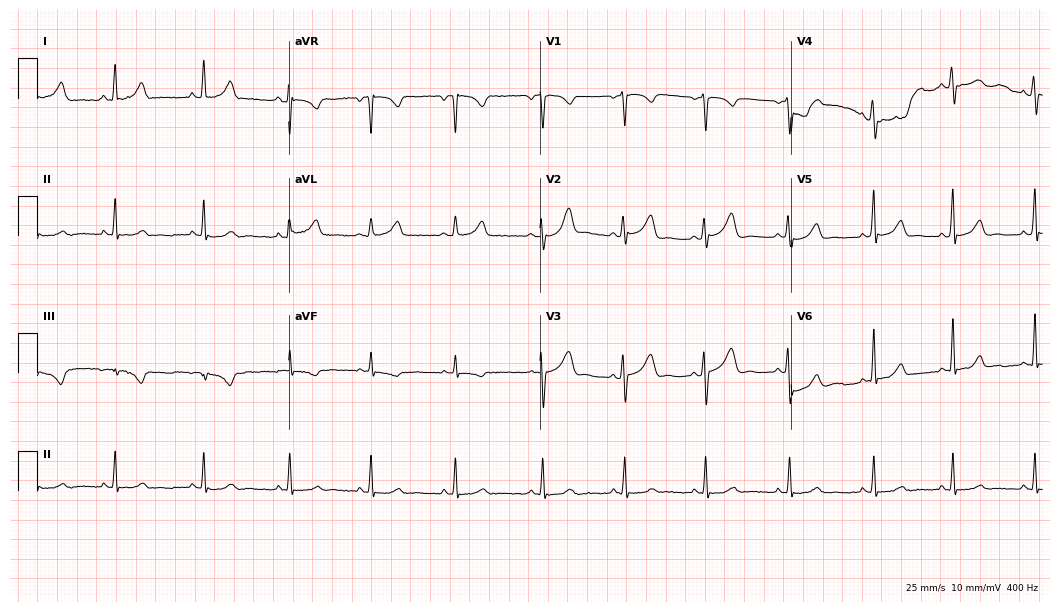
Resting 12-lead electrocardiogram. Patient: a 29-year-old female. Read as a normal ECG.